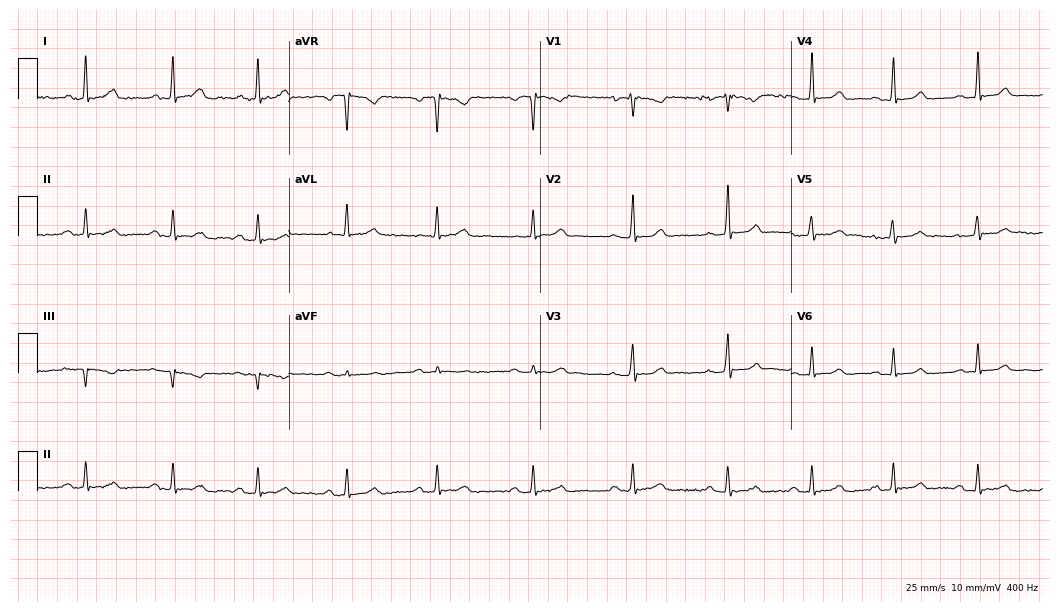
ECG — a male, 24 years old. Labelled as a normal ECG.